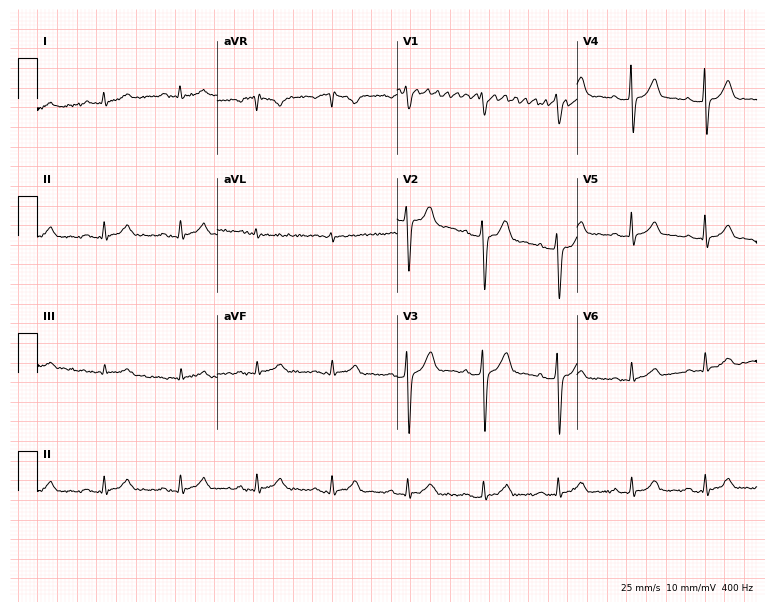
ECG — a male, 52 years old. Screened for six findings — first-degree AV block, right bundle branch block (RBBB), left bundle branch block (LBBB), sinus bradycardia, atrial fibrillation (AF), sinus tachycardia — none is recorded.